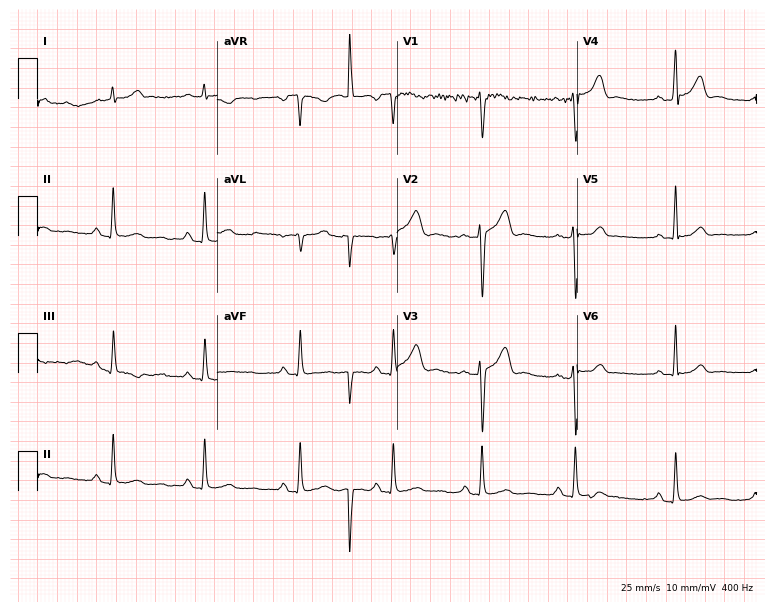
Electrocardiogram, a 23-year-old male. Of the six screened findings (first-degree AV block, right bundle branch block, left bundle branch block, sinus bradycardia, atrial fibrillation, sinus tachycardia), none is recorded.